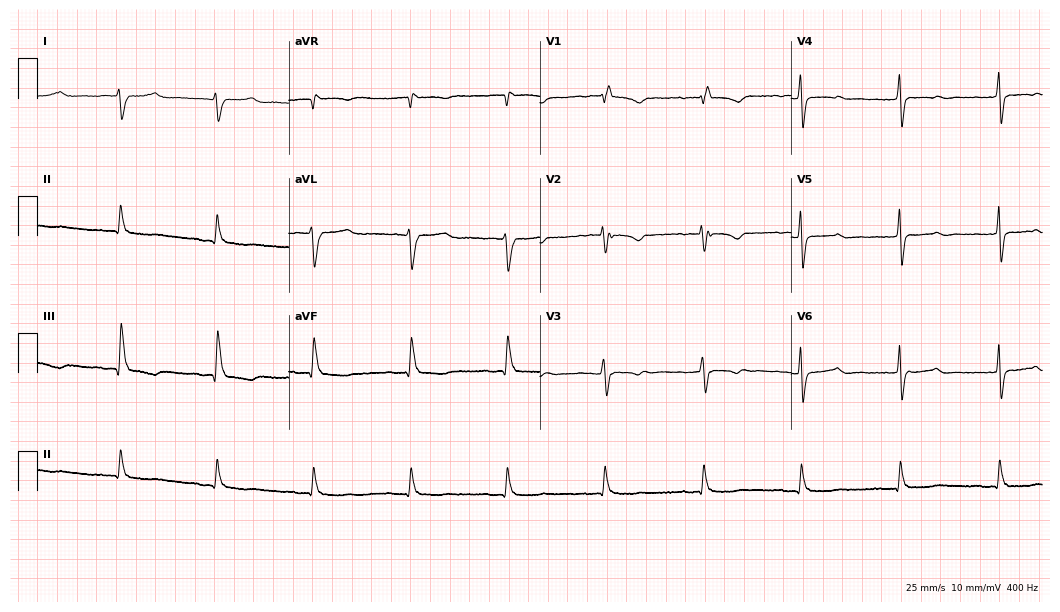
12-lead ECG from a 67-year-old female (10.2-second recording at 400 Hz). Shows right bundle branch block (RBBB).